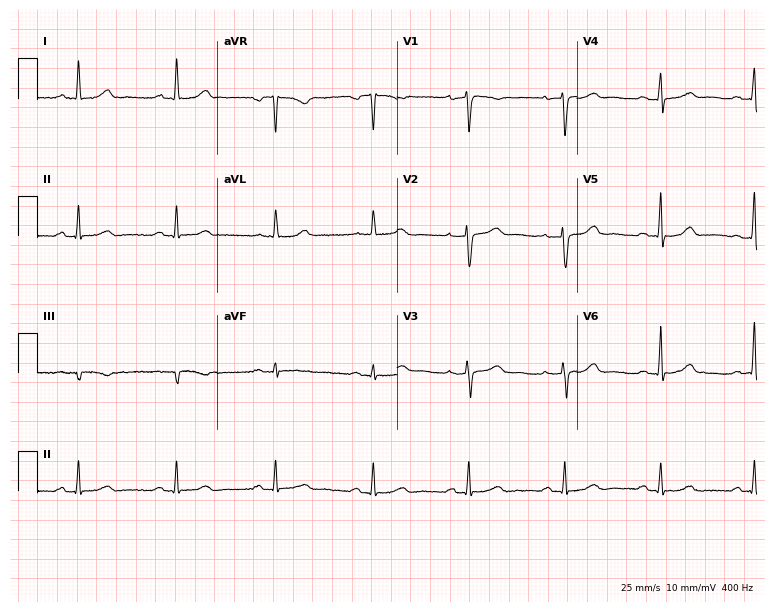
Electrocardiogram, a 52-year-old female. Overall reading on record: normal ECG.